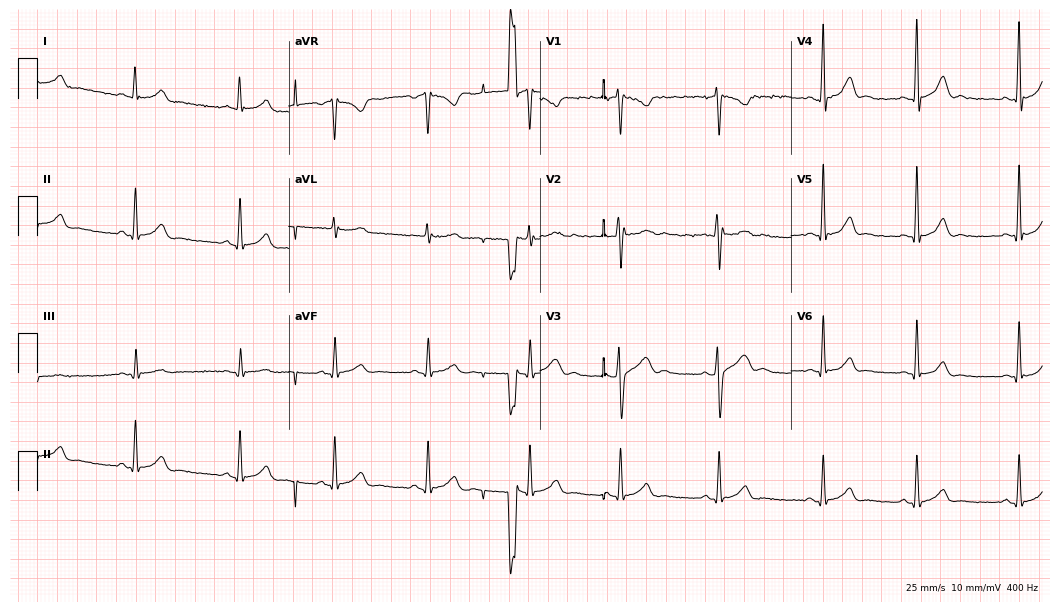
Standard 12-lead ECG recorded from a male patient, 22 years old (10.2-second recording at 400 Hz). None of these six findings is recorded: first-degree AV block, right bundle branch block, left bundle branch block, sinus bradycardia, atrial fibrillation, sinus tachycardia. Findings outside these six are not listed.